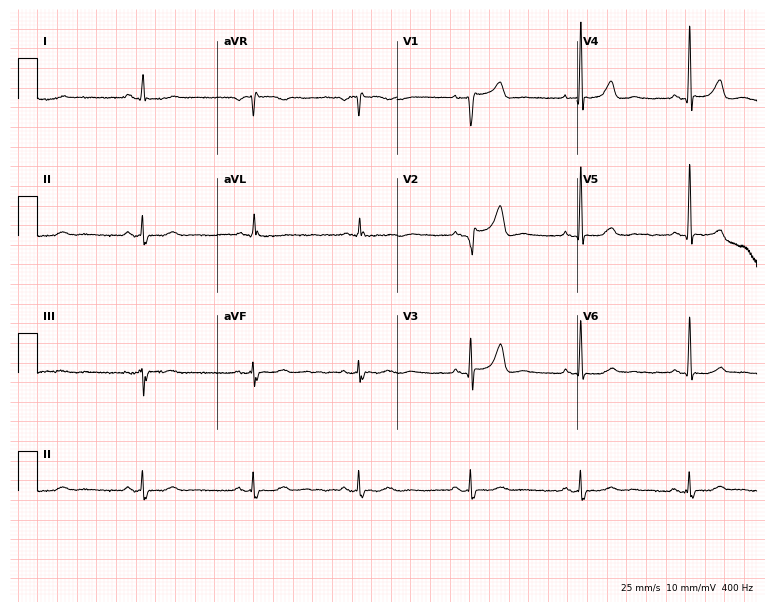
Resting 12-lead electrocardiogram (7.3-second recording at 400 Hz). Patient: a man, 53 years old. None of these six findings is recorded: first-degree AV block, right bundle branch block, left bundle branch block, sinus bradycardia, atrial fibrillation, sinus tachycardia.